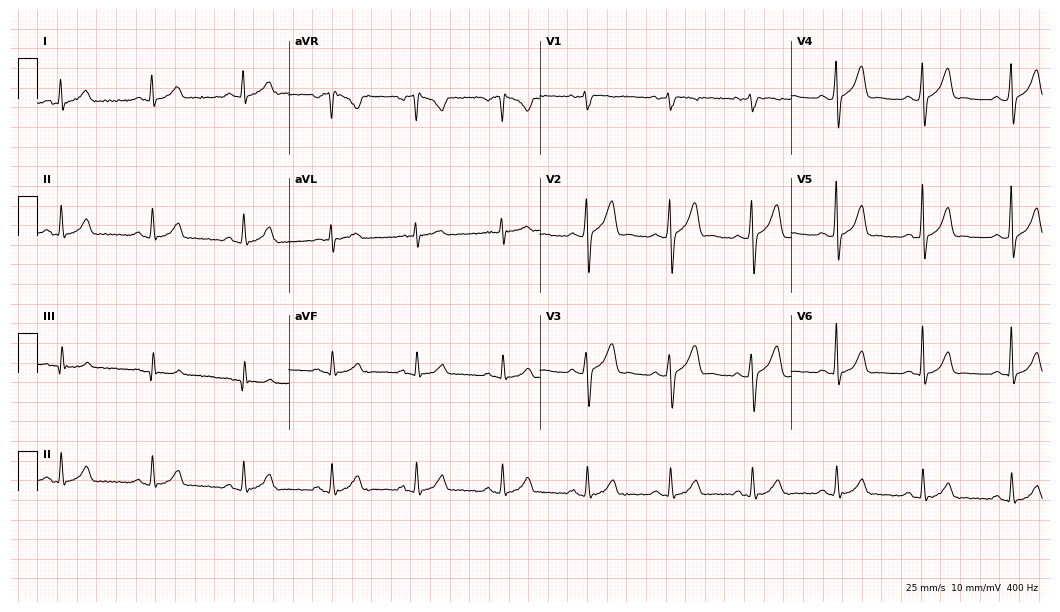
Resting 12-lead electrocardiogram (10.2-second recording at 400 Hz). Patient: a male, 18 years old. None of these six findings is recorded: first-degree AV block, right bundle branch block, left bundle branch block, sinus bradycardia, atrial fibrillation, sinus tachycardia. Findings outside these six are not listed.